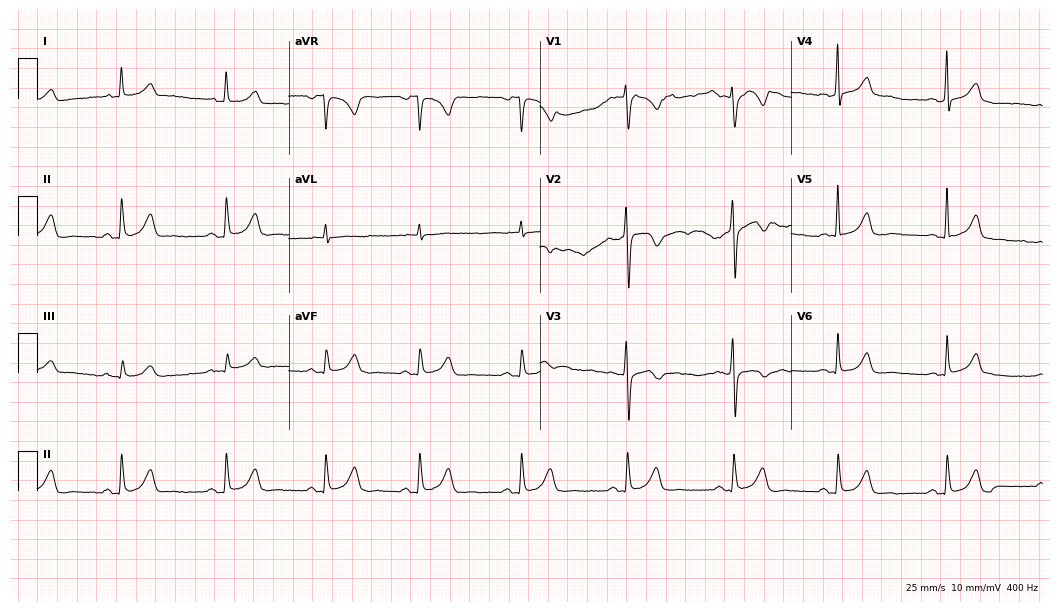
12-lead ECG from a 70-year-old female patient. Screened for six findings — first-degree AV block, right bundle branch block, left bundle branch block, sinus bradycardia, atrial fibrillation, sinus tachycardia — none is recorded.